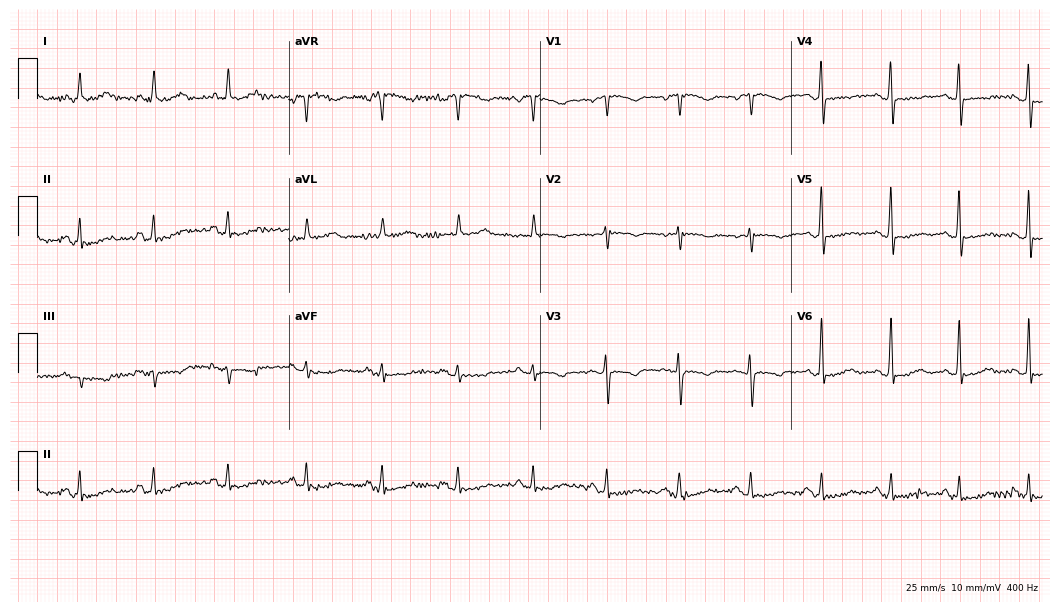
12-lead ECG from a 63-year-old female (10.2-second recording at 400 Hz). No first-degree AV block, right bundle branch block (RBBB), left bundle branch block (LBBB), sinus bradycardia, atrial fibrillation (AF) or sinus tachycardia recorded for this tracing.